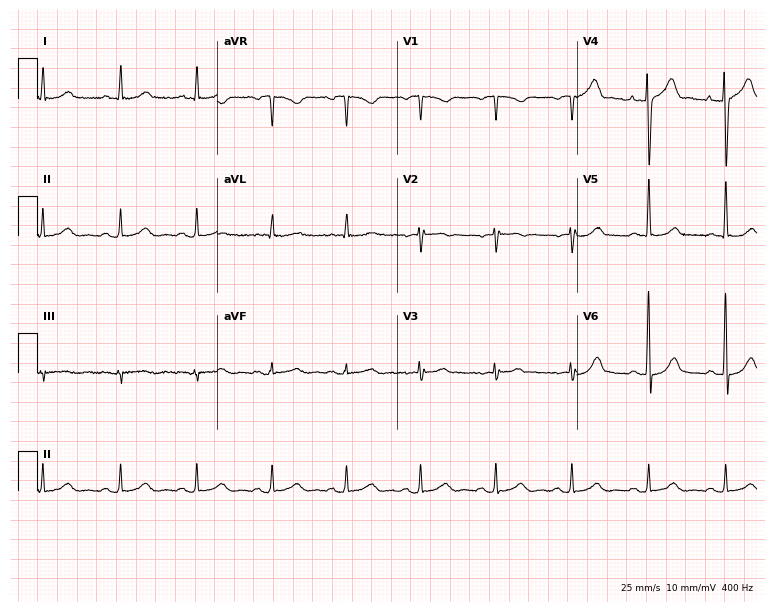
ECG (7.3-second recording at 400 Hz) — a 71-year-old male patient. Labelled as a normal ECG.